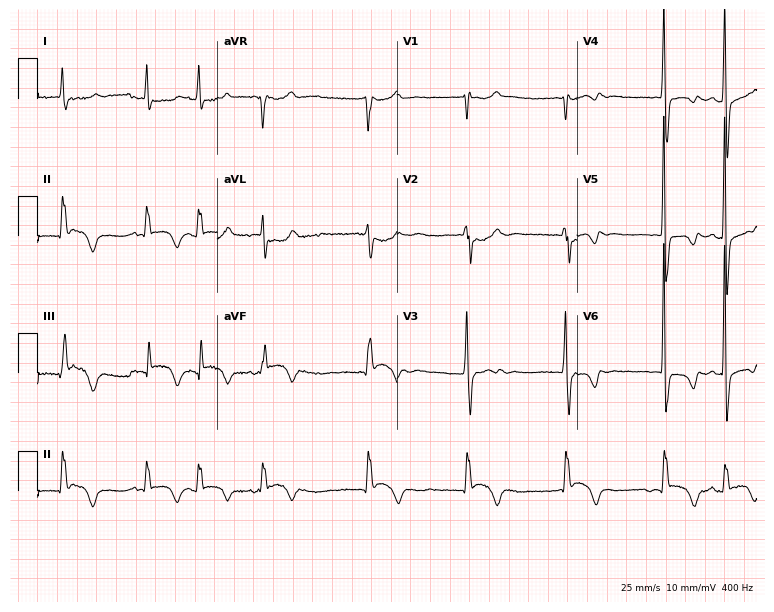
12-lead ECG (7.3-second recording at 400 Hz) from a woman, 79 years old. Findings include atrial fibrillation.